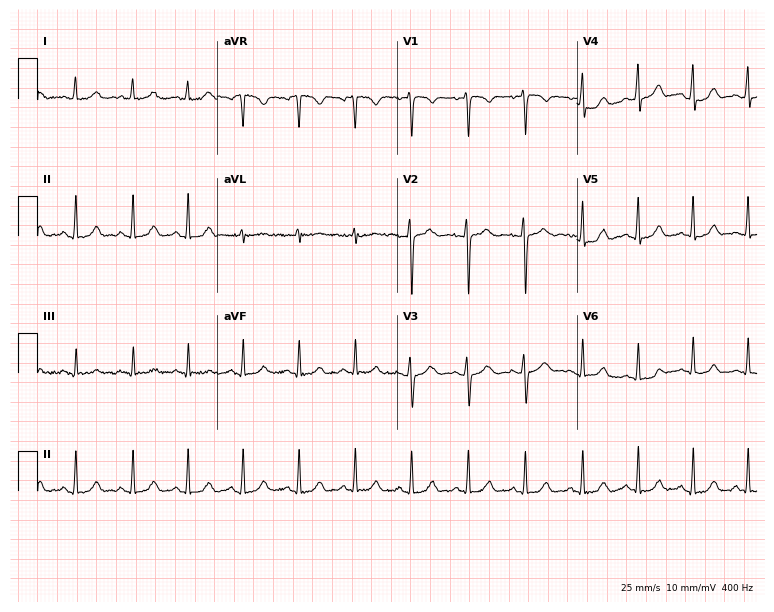
12-lead ECG (7.3-second recording at 400 Hz) from an 18-year-old woman. Findings include sinus tachycardia (a sinus rate of 100 beats per minute or more).